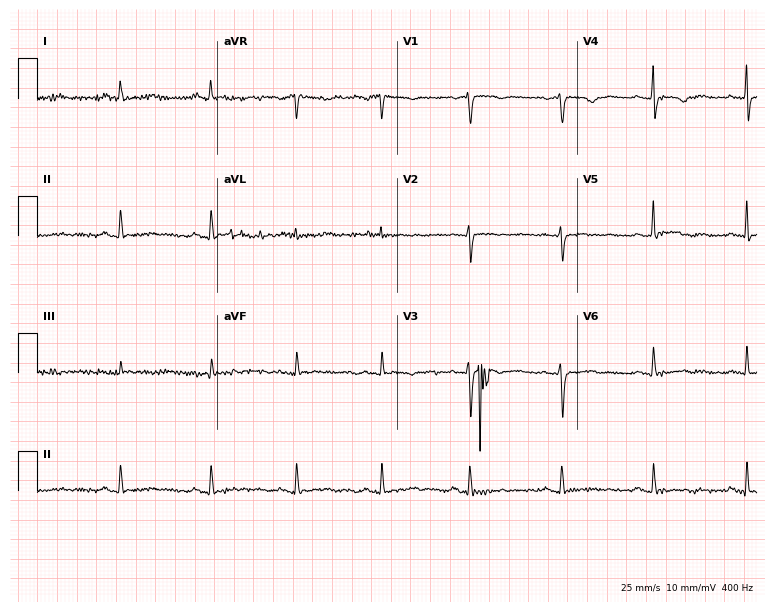
Electrocardiogram, a female, 56 years old. Of the six screened findings (first-degree AV block, right bundle branch block, left bundle branch block, sinus bradycardia, atrial fibrillation, sinus tachycardia), none is recorded.